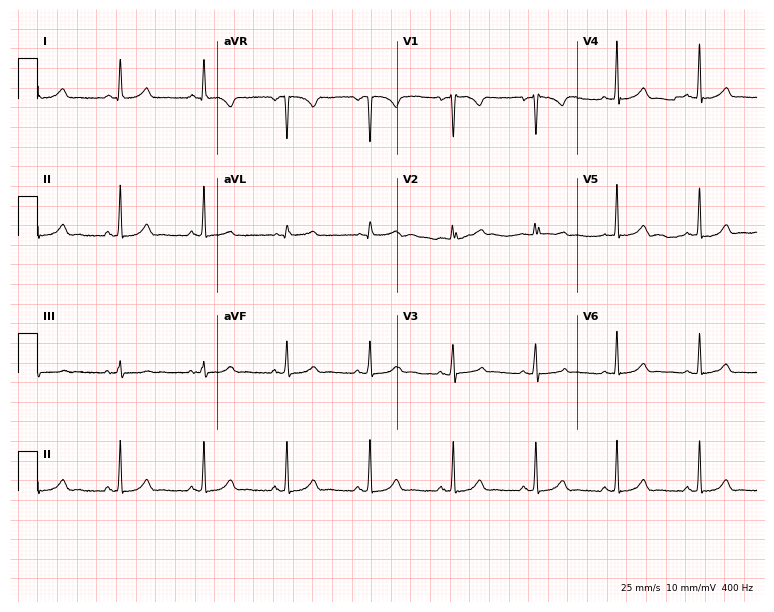
12-lead ECG from a 35-year-old female. Labelled as a normal ECG.